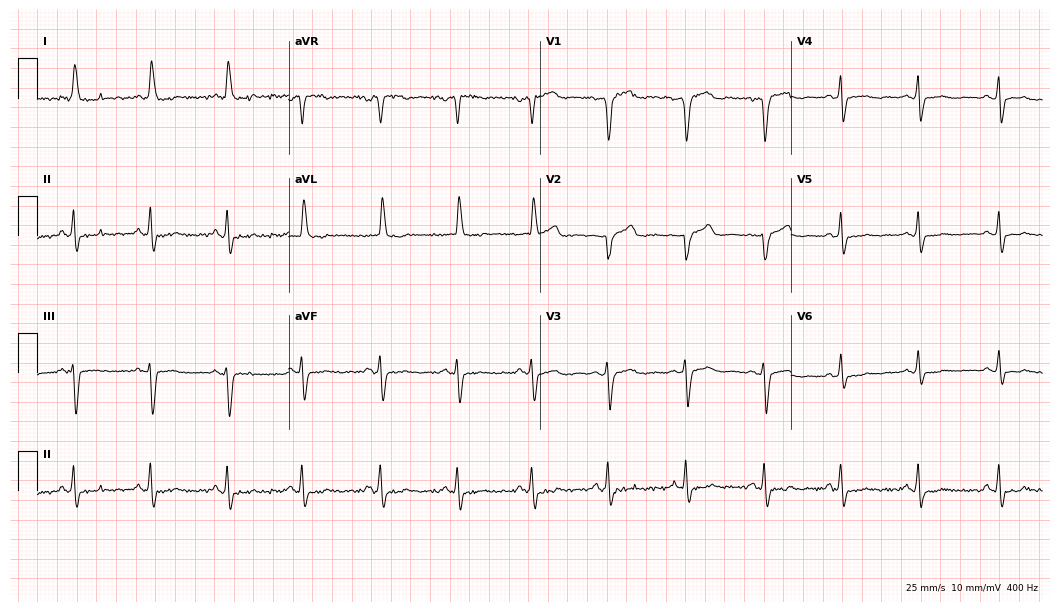
Electrocardiogram, a 69-year-old female. Of the six screened findings (first-degree AV block, right bundle branch block, left bundle branch block, sinus bradycardia, atrial fibrillation, sinus tachycardia), none is recorded. Findings outside these six are not listed.